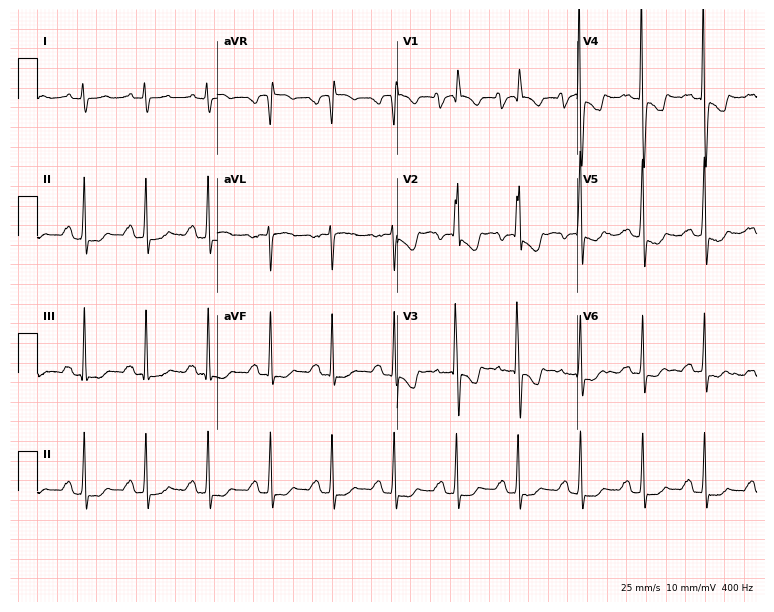
12-lead ECG from a woman, 19 years old. Screened for six findings — first-degree AV block, right bundle branch block, left bundle branch block, sinus bradycardia, atrial fibrillation, sinus tachycardia — none is recorded.